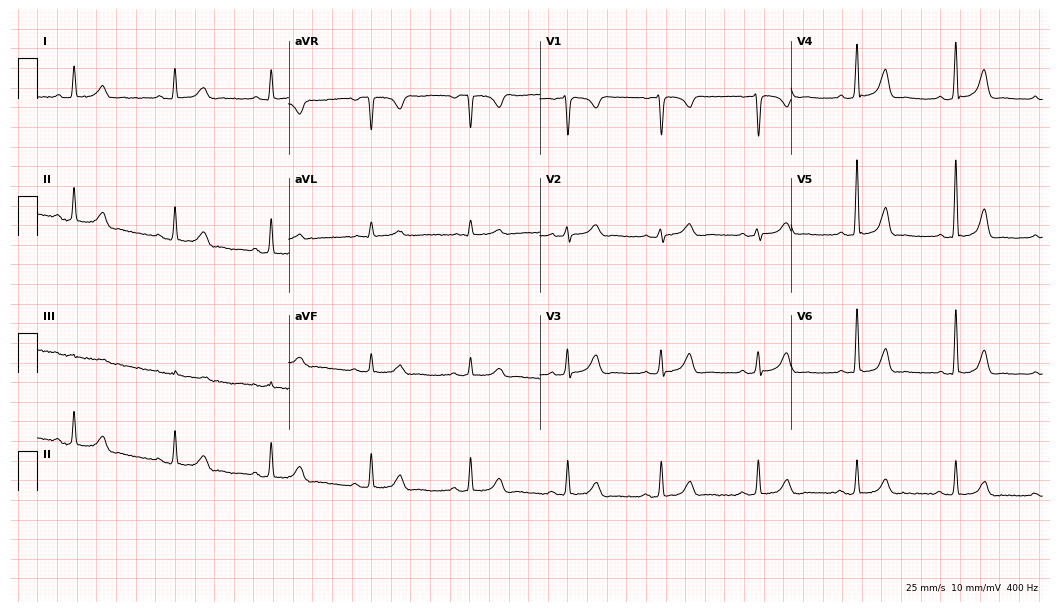
12-lead ECG (10.2-second recording at 400 Hz) from a female patient, 38 years old. Labelled as a normal ECG.